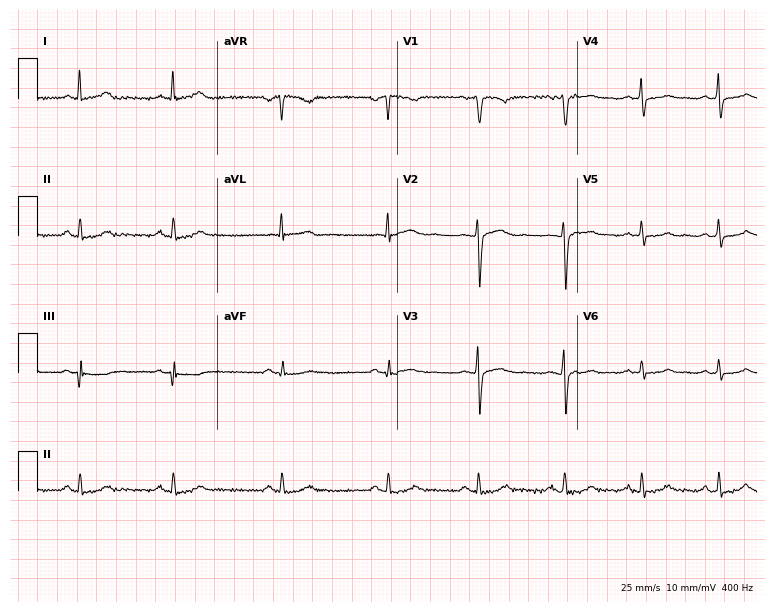
Electrocardiogram (7.3-second recording at 400 Hz), a female patient, 33 years old. Overall reading on record: normal ECG.